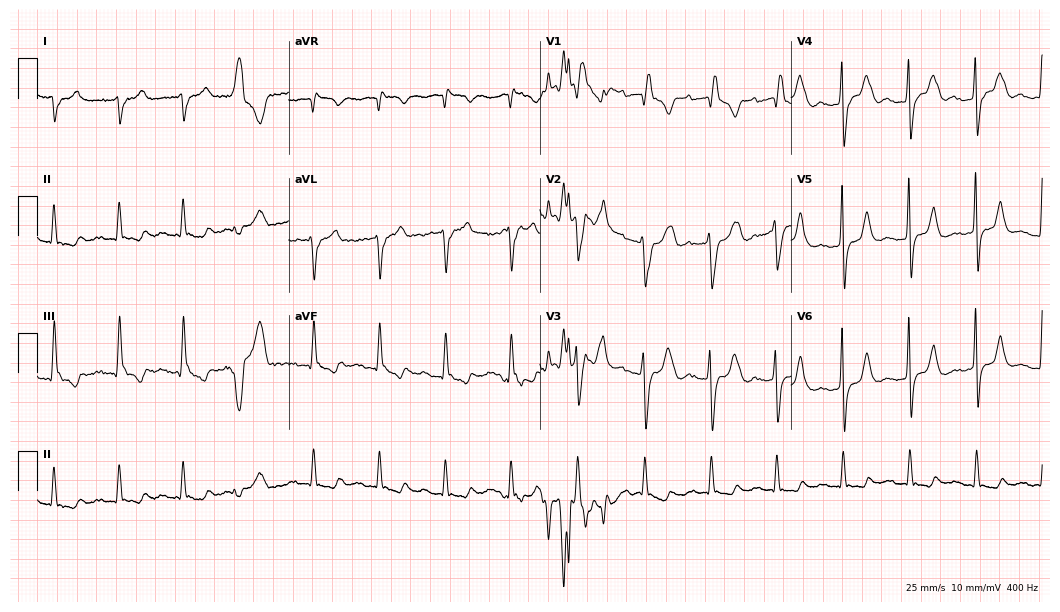
Electrocardiogram, an 83-year-old female patient. Of the six screened findings (first-degree AV block, right bundle branch block, left bundle branch block, sinus bradycardia, atrial fibrillation, sinus tachycardia), none is recorded. Only these six findings were labelled.